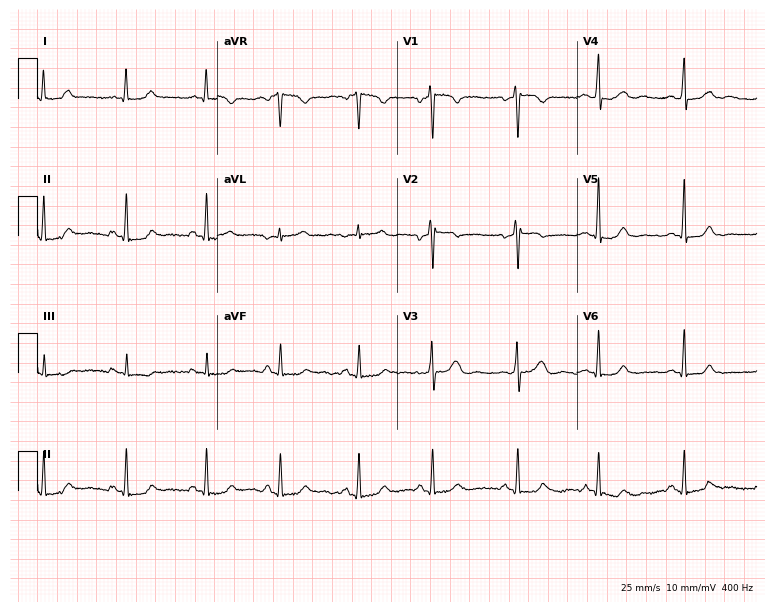
Standard 12-lead ECG recorded from a female patient, 37 years old. Read as a normal ECG.